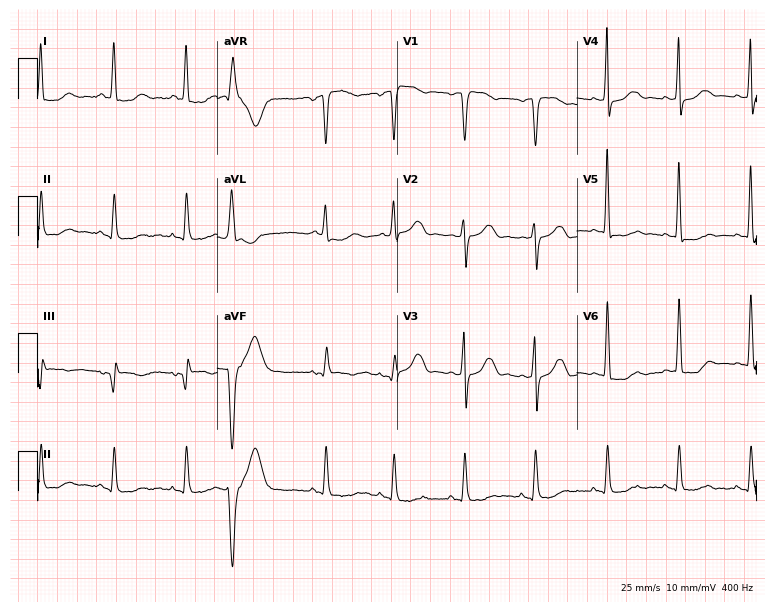
ECG — an 85-year-old female. Screened for six findings — first-degree AV block, right bundle branch block, left bundle branch block, sinus bradycardia, atrial fibrillation, sinus tachycardia — none is recorded.